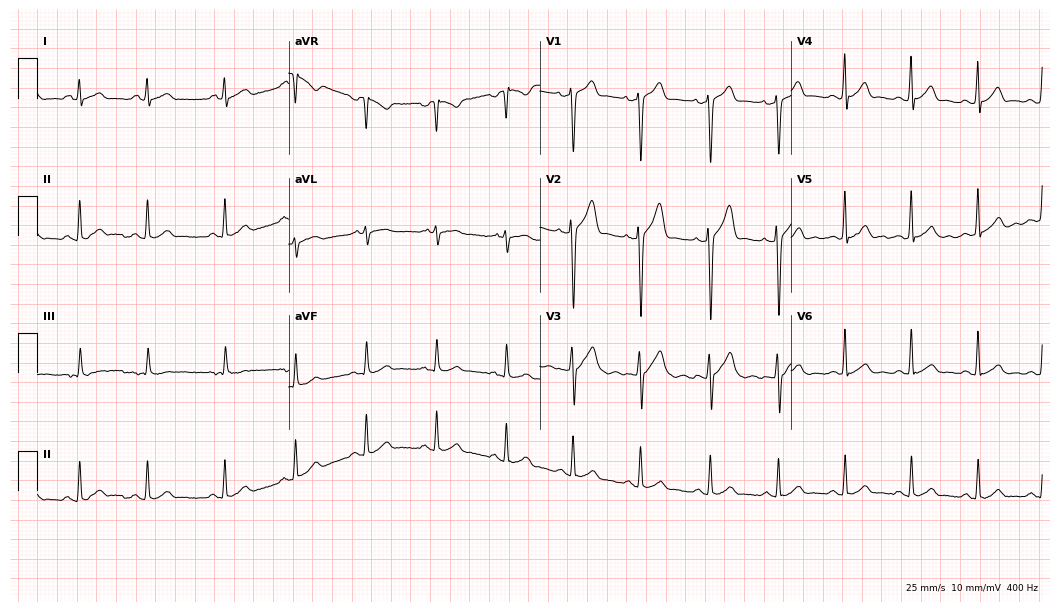
ECG (10.2-second recording at 400 Hz) — a 31-year-old male. Labelled as a normal ECG.